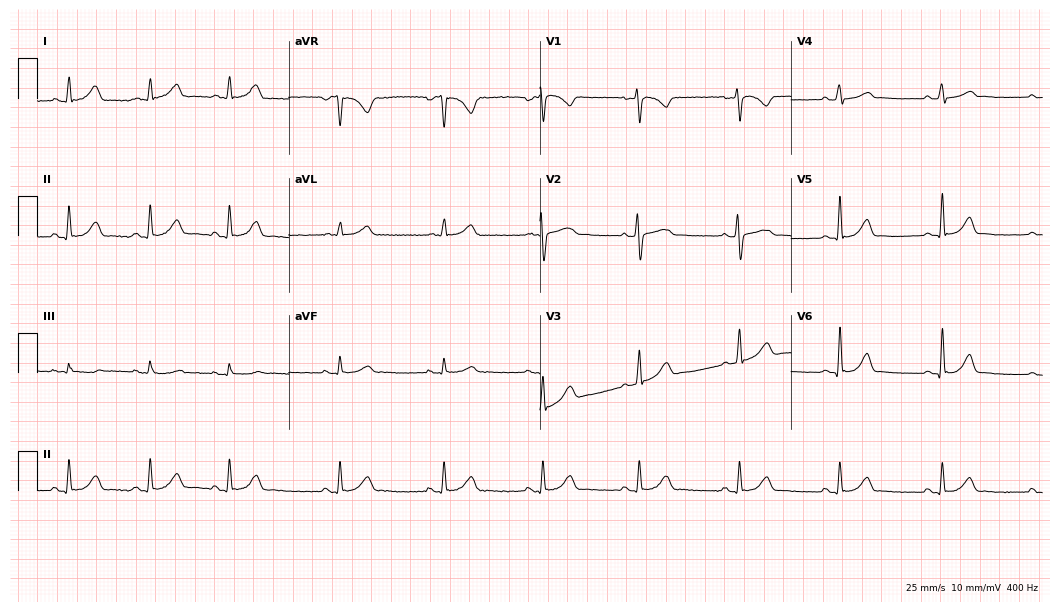
Resting 12-lead electrocardiogram. Patient: a female, 30 years old. Read as a normal ECG.